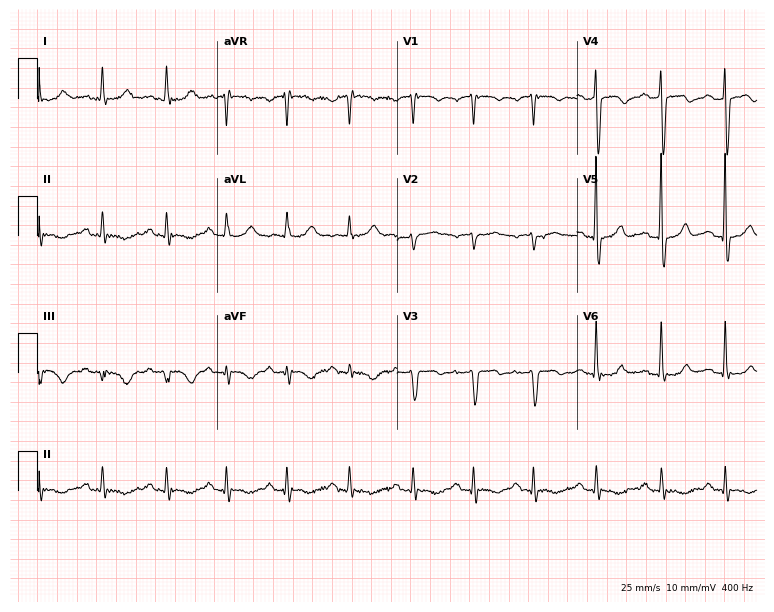
Standard 12-lead ECG recorded from a 76-year-old woman (7.3-second recording at 400 Hz). None of these six findings is recorded: first-degree AV block, right bundle branch block, left bundle branch block, sinus bradycardia, atrial fibrillation, sinus tachycardia. Only these six findings were labelled.